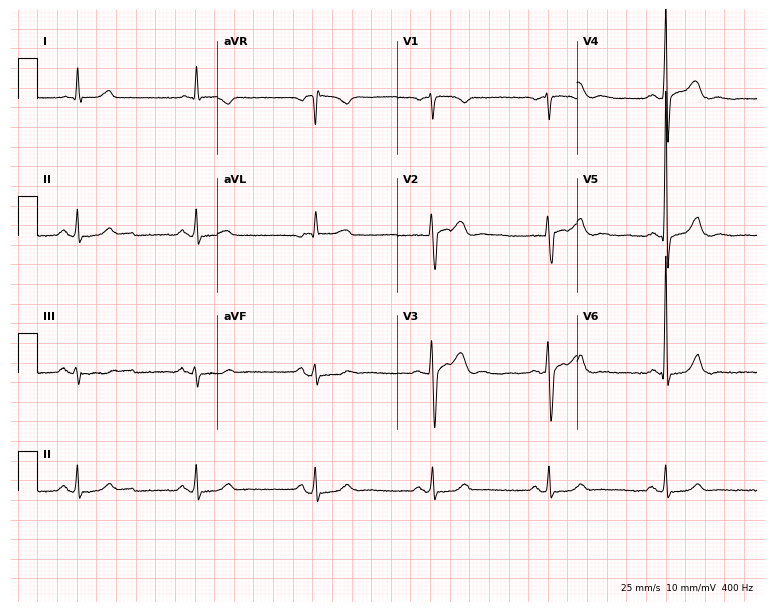
12-lead ECG from a 69-year-old male patient. Shows sinus bradycardia (a sinus rate of 50 beats per minute or less).